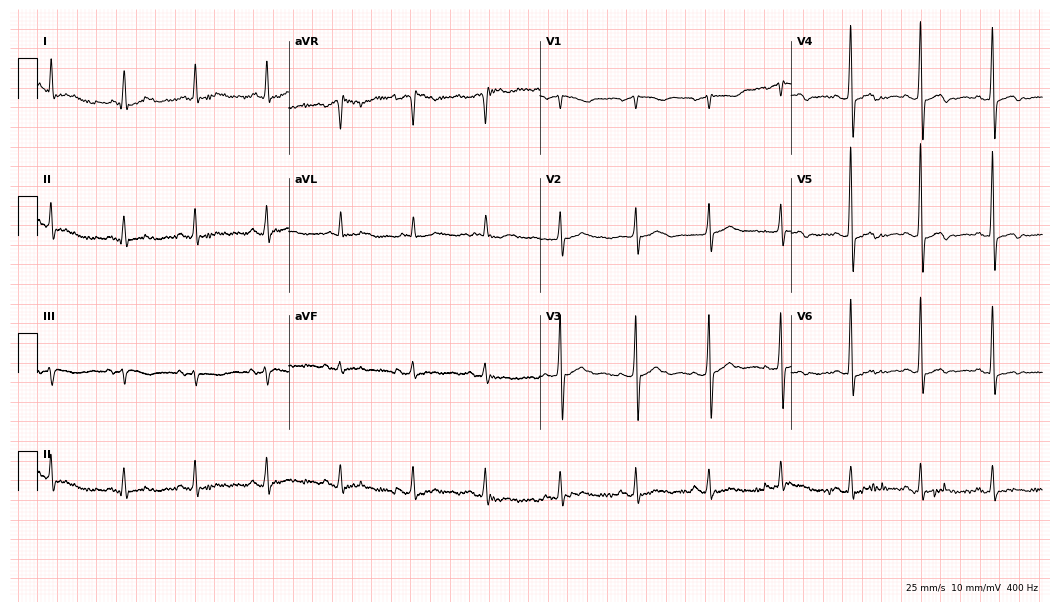
Electrocardiogram (10.2-second recording at 400 Hz), a female patient, 79 years old. Of the six screened findings (first-degree AV block, right bundle branch block (RBBB), left bundle branch block (LBBB), sinus bradycardia, atrial fibrillation (AF), sinus tachycardia), none is recorded.